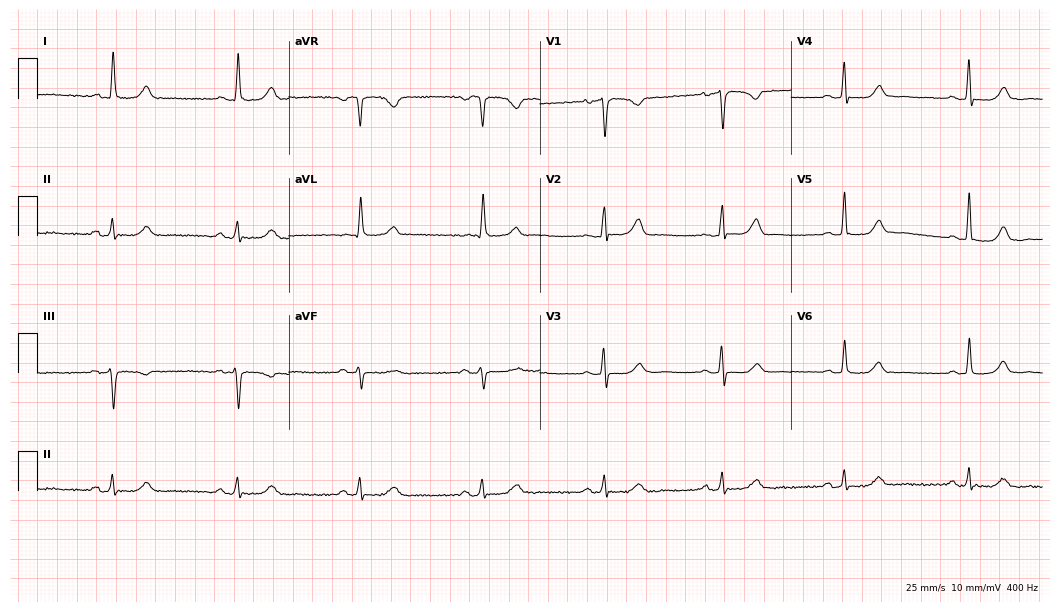
Resting 12-lead electrocardiogram (10.2-second recording at 400 Hz). Patient: a 75-year-old female. None of these six findings is recorded: first-degree AV block, right bundle branch block, left bundle branch block, sinus bradycardia, atrial fibrillation, sinus tachycardia. Findings outside these six are not listed.